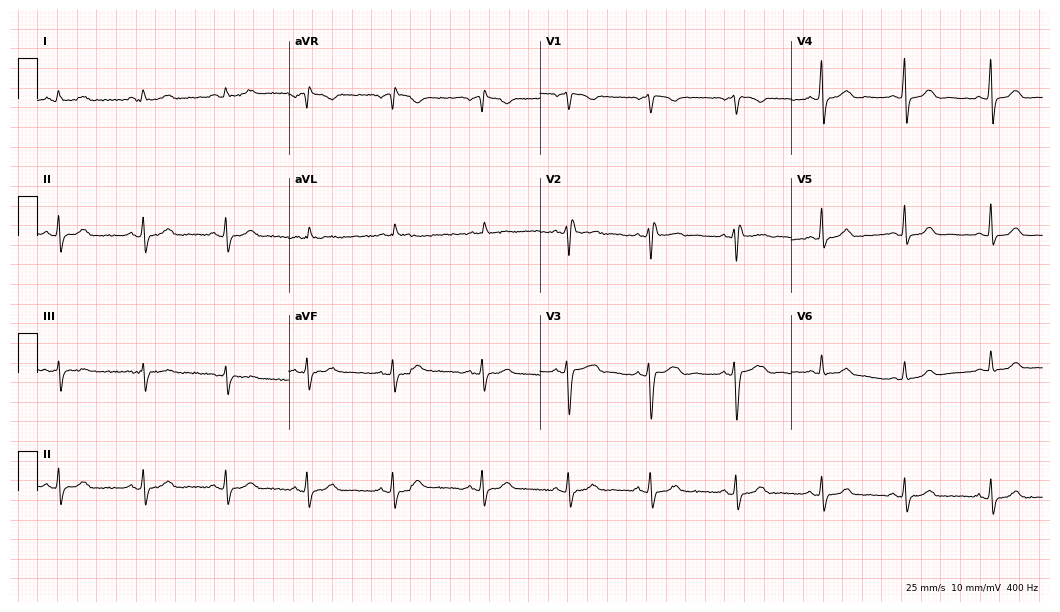
Standard 12-lead ECG recorded from a 43-year-old female patient (10.2-second recording at 400 Hz). None of these six findings is recorded: first-degree AV block, right bundle branch block, left bundle branch block, sinus bradycardia, atrial fibrillation, sinus tachycardia.